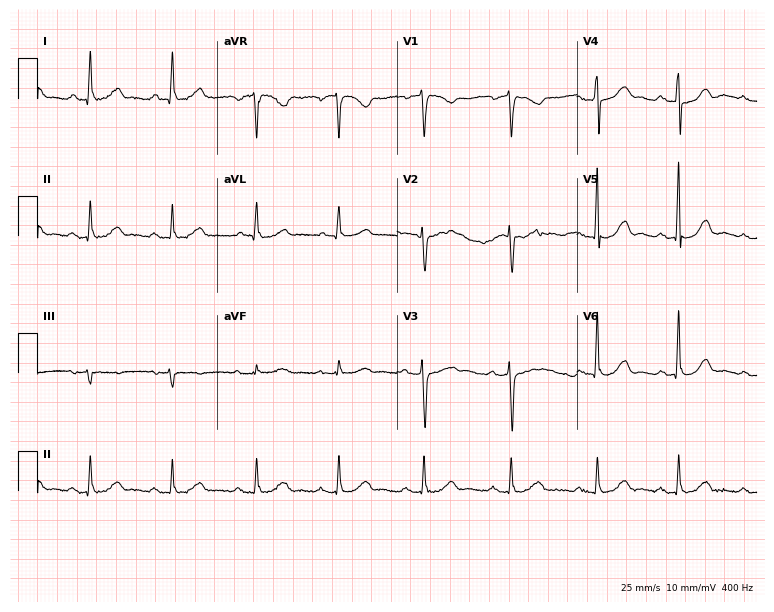
12-lead ECG from a 67-year-old female patient (7.3-second recording at 400 Hz). No first-degree AV block, right bundle branch block, left bundle branch block, sinus bradycardia, atrial fibrillation or sinus tachycardia recorded for this tracing.